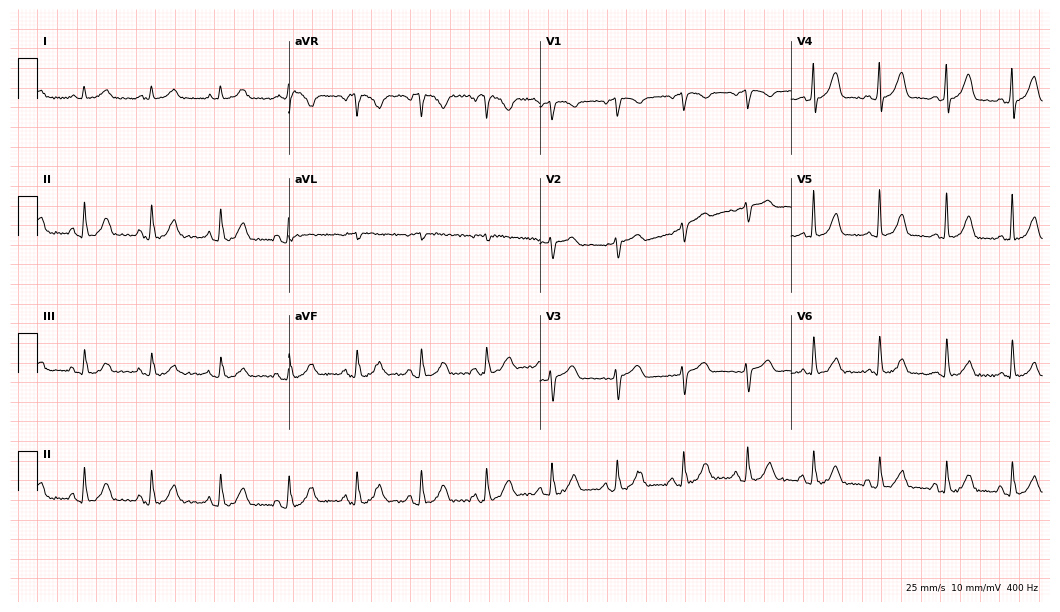
12-lead ECG from a woman, 70 years old. No first-degree AV block, right bundle branch block (RBBB), left bundle branch block (LBBB), sinus bradycardia, atrial fibrillation (AF) or sinus tachycardia recorded for this tracing.